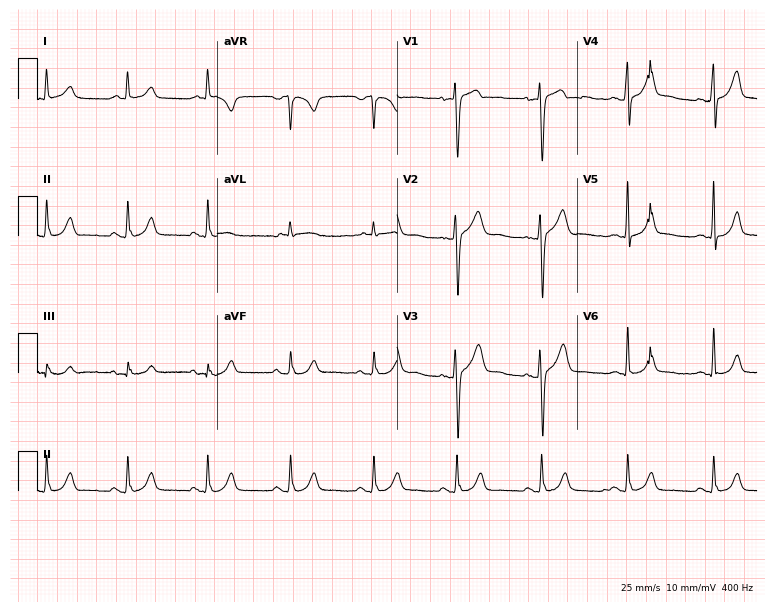
ECG (7.3-second recording at 400 Hz) — a man, 36 years old. Labelled as a normal ECG.